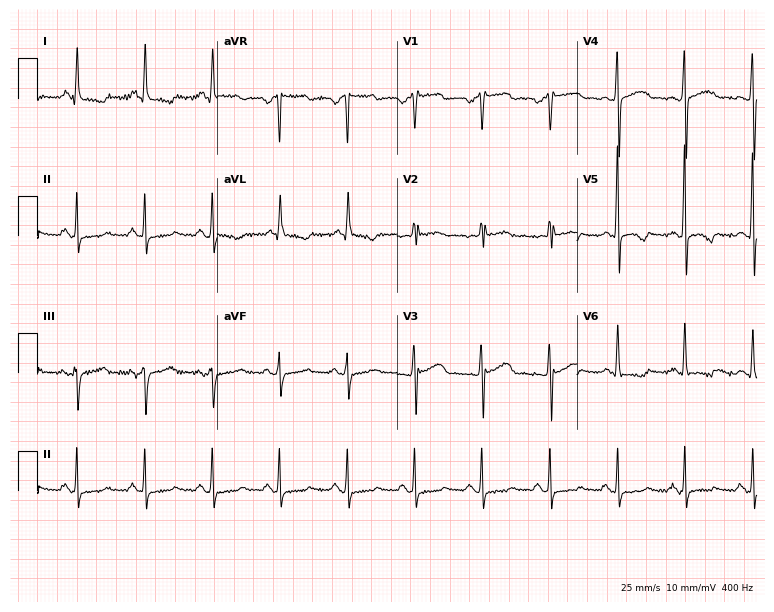
12-lead ECG from a 55-year-old female patient. Screened for six findings — first-degree AV block, right bundle branch block (RBBB), left bundle branch block (LBBB), sinus bradycardia, atrial fibrillation (AF), sinus tachycardia — none is recorded.